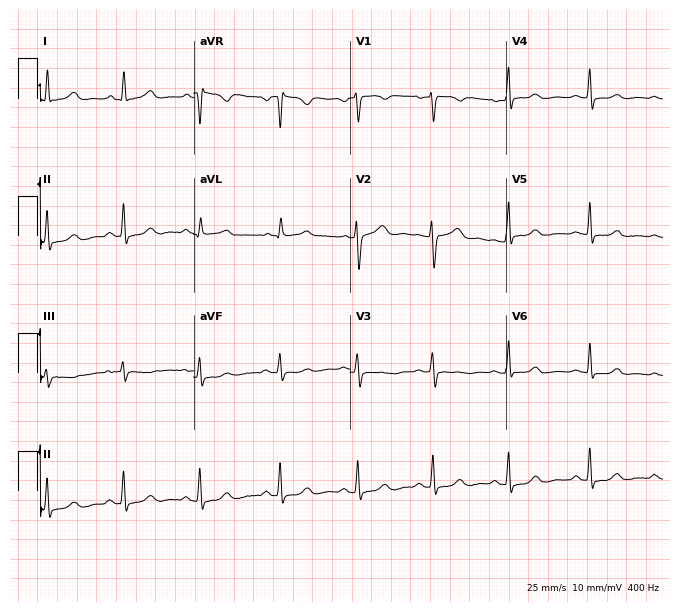
12-lead ECG from a 44-year-old female patient. Screened for six findings — first-degree AV block, right bundle branch block (RBBB), left bundle branch block (LBBB), sinus bradycardia, atrial fibrillation (AF), sinus tachycardia — none is recorded. Findings outside these six are not listed.